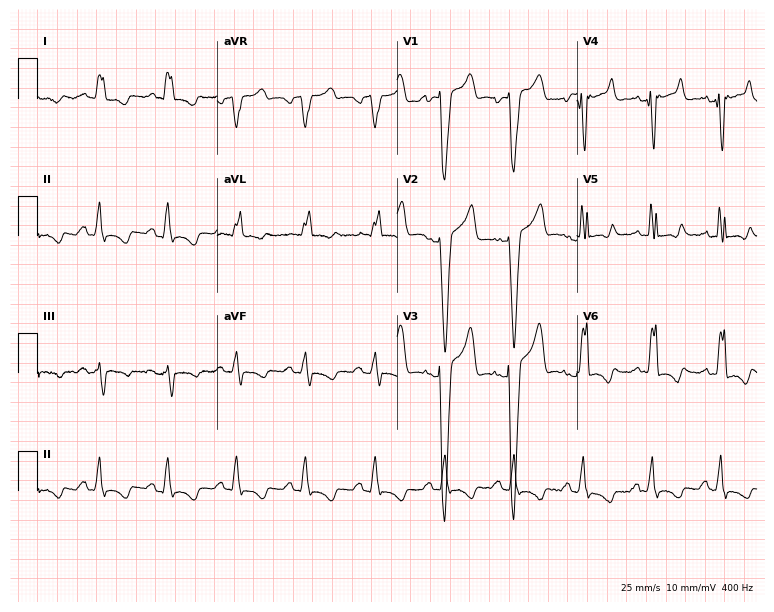
Resting 12-lead electrocardiogram (7.3-second recording at 400 Hz). Patient: a 56-year-old male. The tracing shows left bundle branch block.